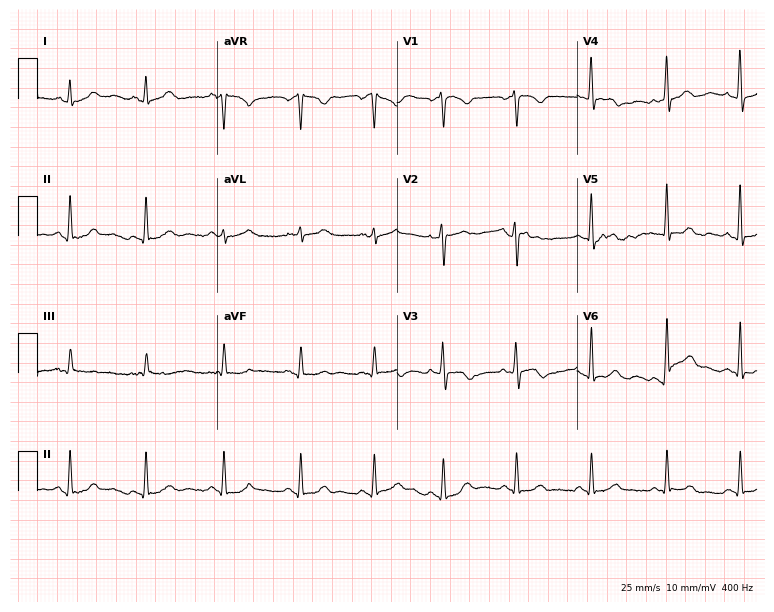
Standard 12-lead ECG recorded from a 22-year-old female patient. None of these six findings is recorded: first-degree AV block, right bundle branch block, left bundle branch block, sinus bradycardia, atrial fibrillation, sinus tachycardia. Other findings, if any, are not listed.